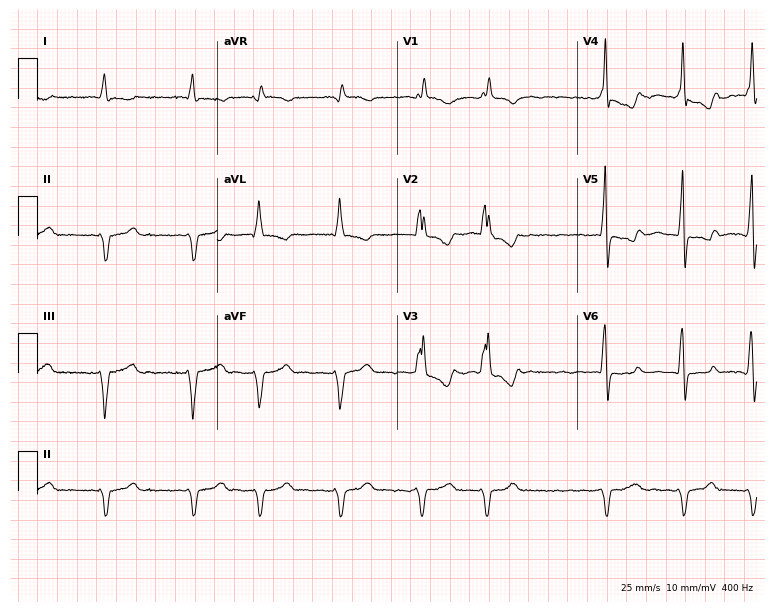
ECG (7.3-second recording at 400 Hz) — a male, 81 years old. Findings include right bundle branch block, atrial fibrillation.